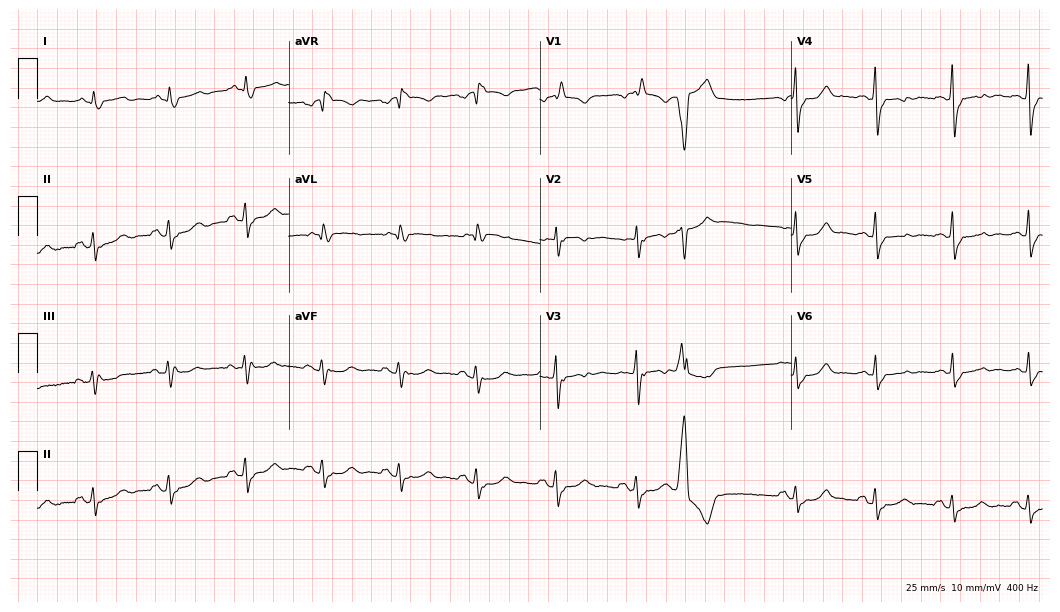
ECG — a female patient, 68 years old. Screened for six findings — first-degree AV block, right bundle branch block, left bundle branch block, sinus bradycardia, atrial fibrillation, sinus tachycardia — none is recorded.